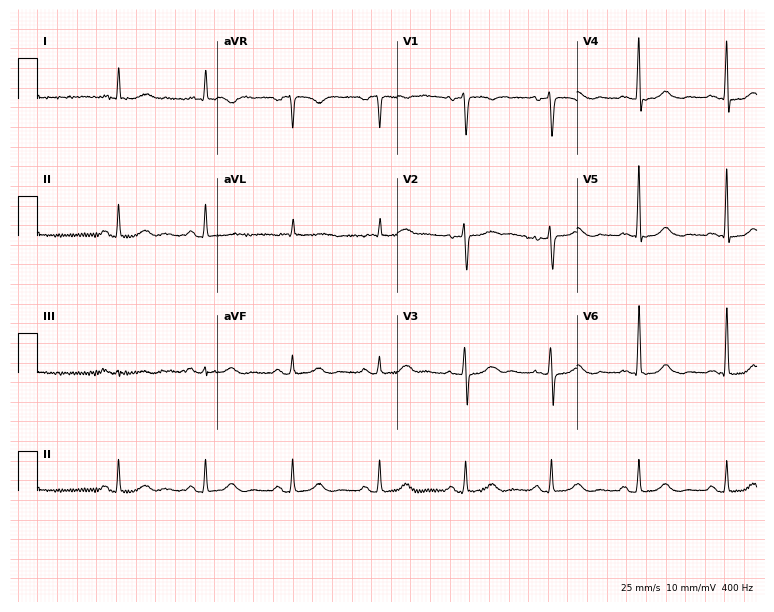
Standard 12-lead ECG recorded from a 79-year-old man (7.3-second recording at 400 Hz). Read as a normal ECG.